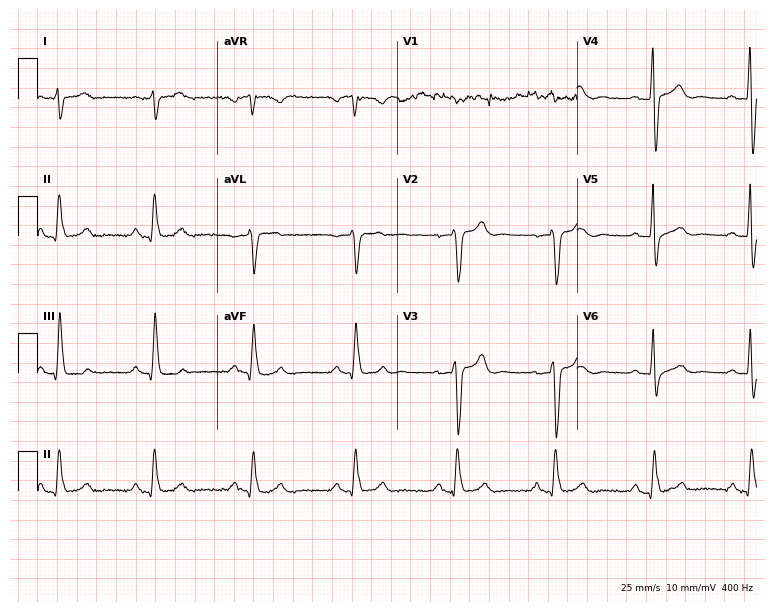
12-lead ECG from a man, 58 years old. Screened for six findings — first-degree AV block, right bundle branch block, left bundle branch block, sinus bradycardia, atrial fibrillation, sinus tachycardia — none is recorded.